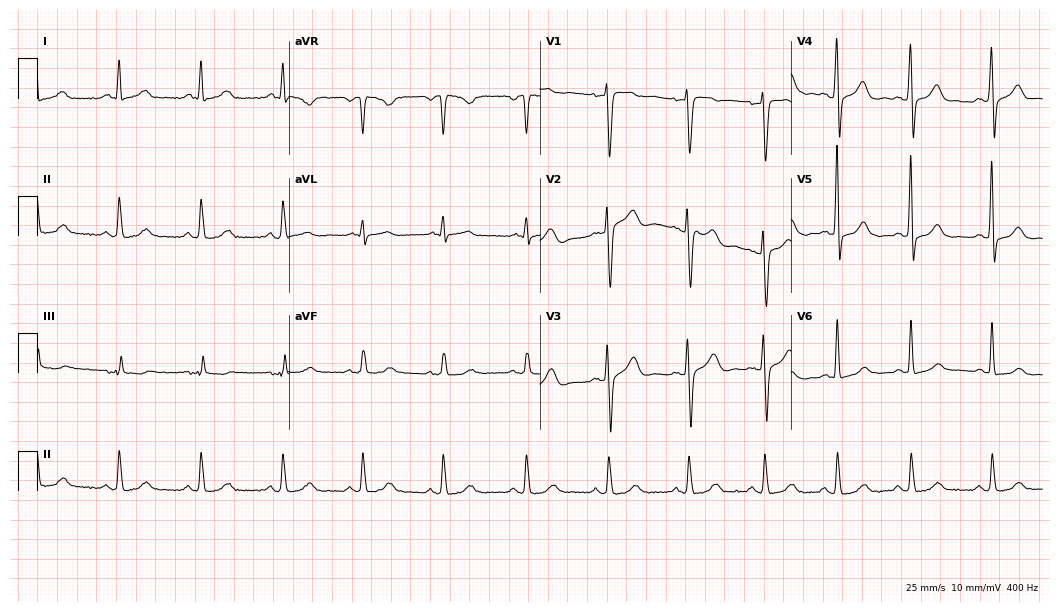
Electrocardiogram (10.2-second recording at 400 Hz), a 55-year-old woman. Overall reading on record: normal ECG.